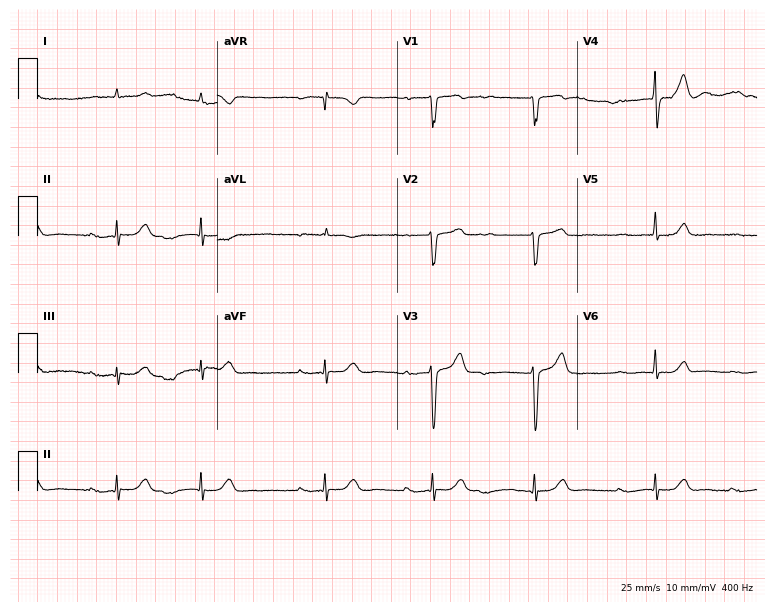
Electrocardiogram (7.3-second recording at 400 Hz), an 85-year-old man. Of the six screened findings (first-degree AV block, right bundle branch block (RBBB), left bundle branch block (LBBB), sinus bradycardia, atrial fibrillation (AF), sinus tachycardia), none is recorded. Other findings, if any, are not listed.